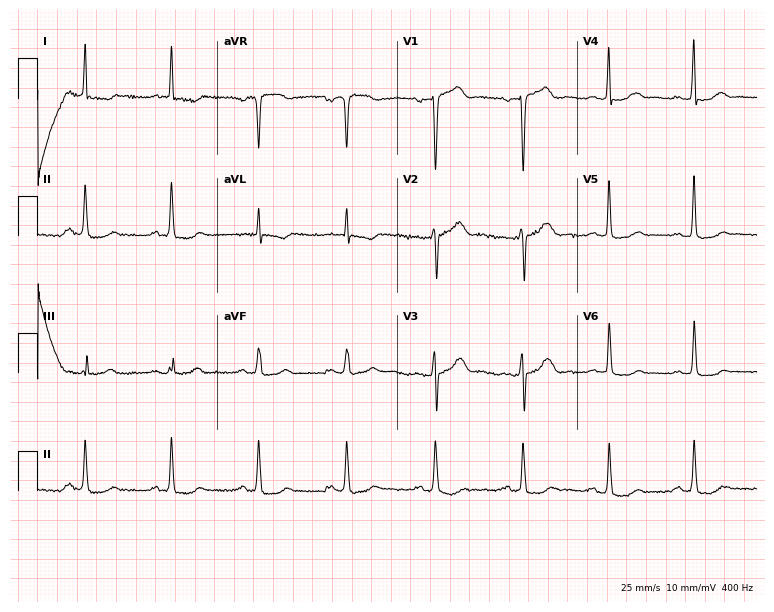
Standard 12-lead ECG recorded from a male patient, 59 years old. None of these six findings is recorded: first-degree AV block, right bundle branch block, left bundle branch block, sinus bradycardia, atrial fibrillation, sinus tachycardia.